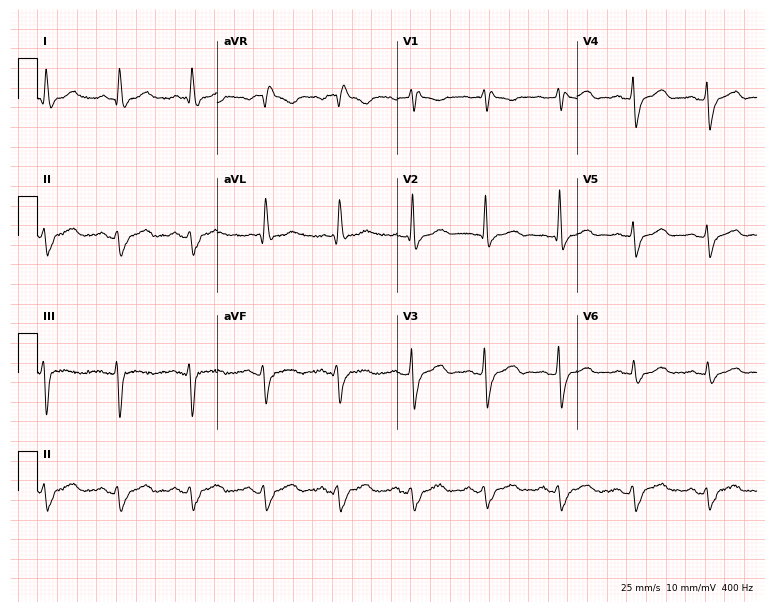
12-lead ECG (7.3-second recording at 400 Hz) from a 64-year-old female. Findings include right bundle branch block.